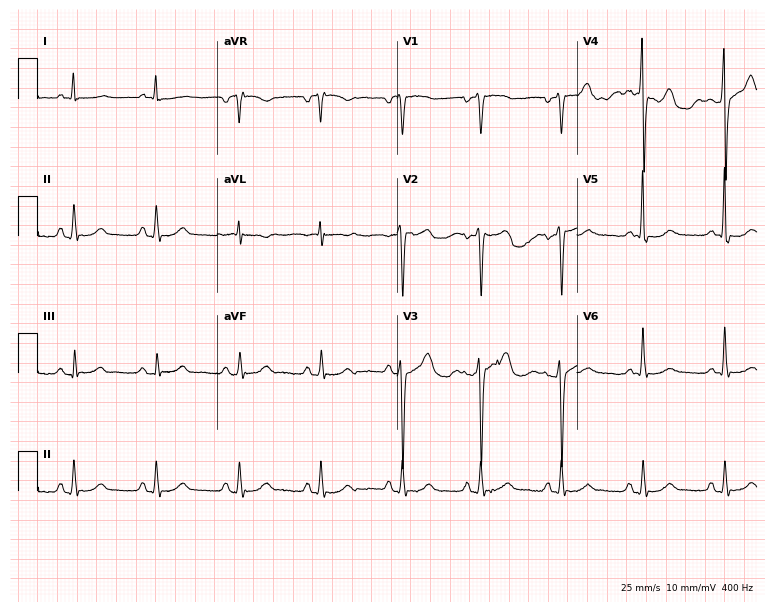
Electrocardiogram (7.3-second recording at 400 Hz), a 65-year-old man. Overall reading on record: normal ECG.